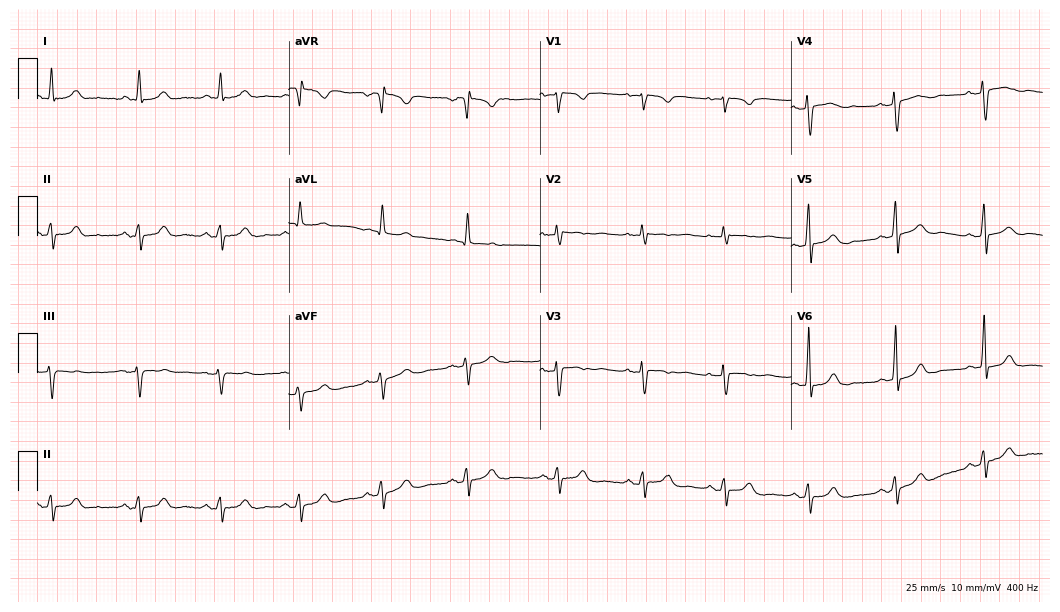
Standard 12-lead ECG recorded from a 49-year-old woman (10.2-second recording at 400 Hz). None of these six findings is recorded: first-degree AV block, right bundle branch block, left bundle branch block, sinus bradycardia, atrial fibrillation, sinus tachycardia. Only these six findings were labelled.